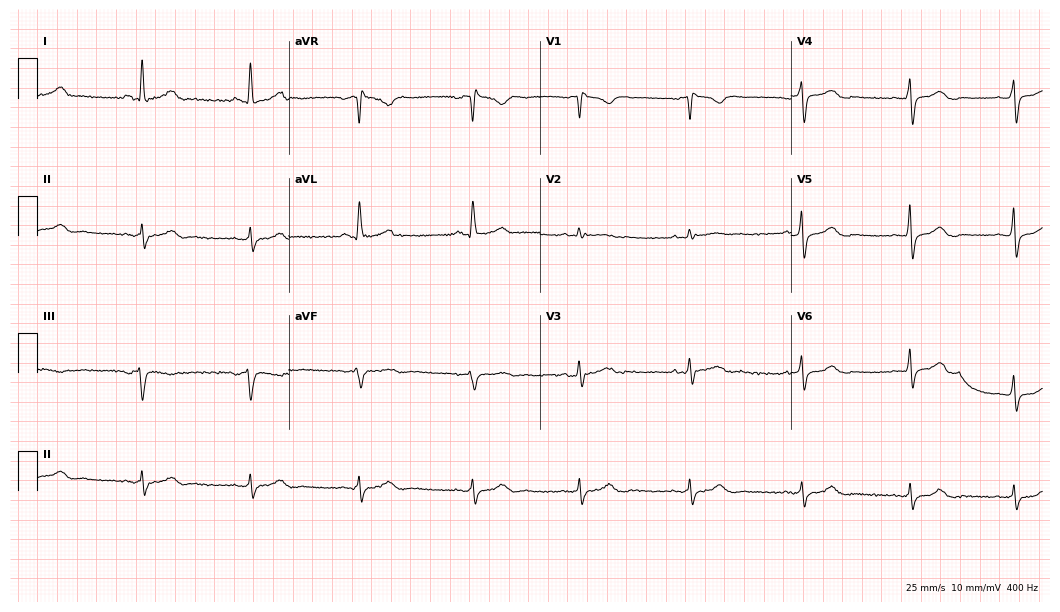
Electrocardiogram, a woman, 62 years old. Interpretation includes right bundle branch block (RBBB).